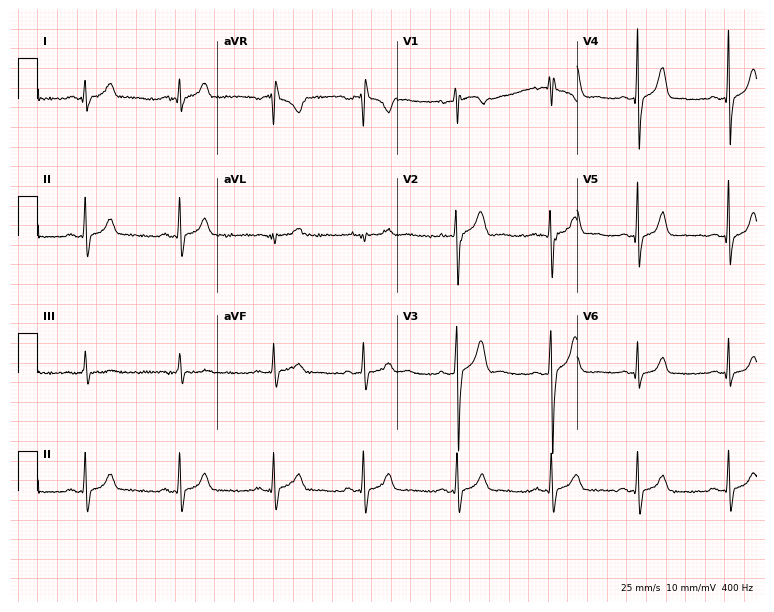
12-lead ECG from a man, 26 years old. Recorded interpretation: within normal limits.